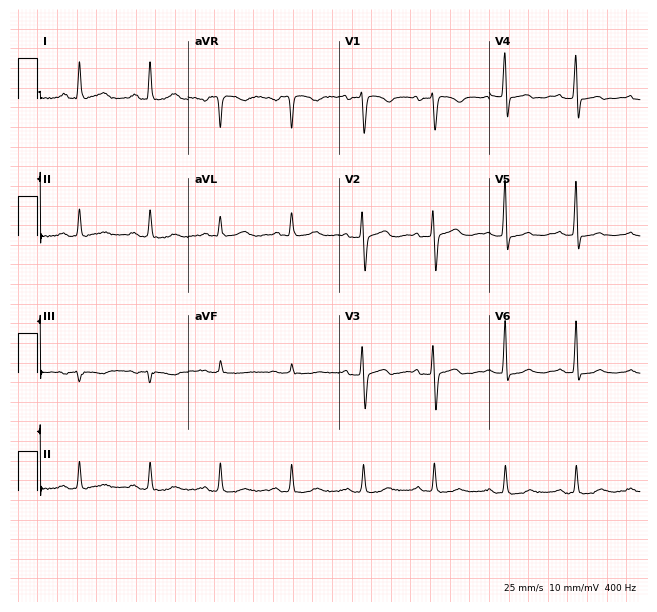
Electrocardiogram, a 56-year-old female. Overall reading on record: normal ECG.